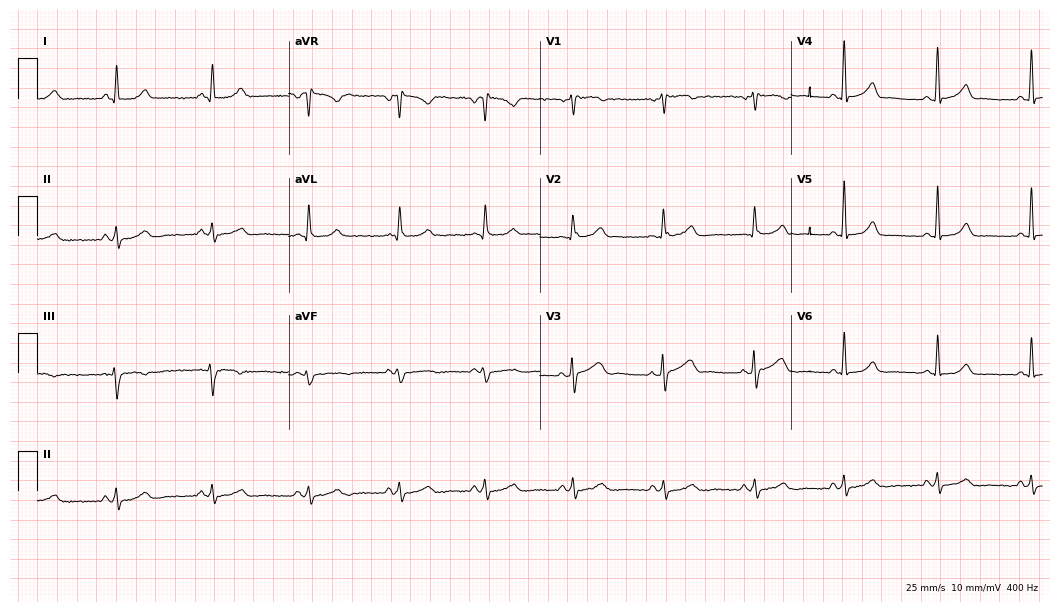
ECG (10.2-second recording at 400 Hz) — a 55-year-old female. Labelled as a normal ECG.